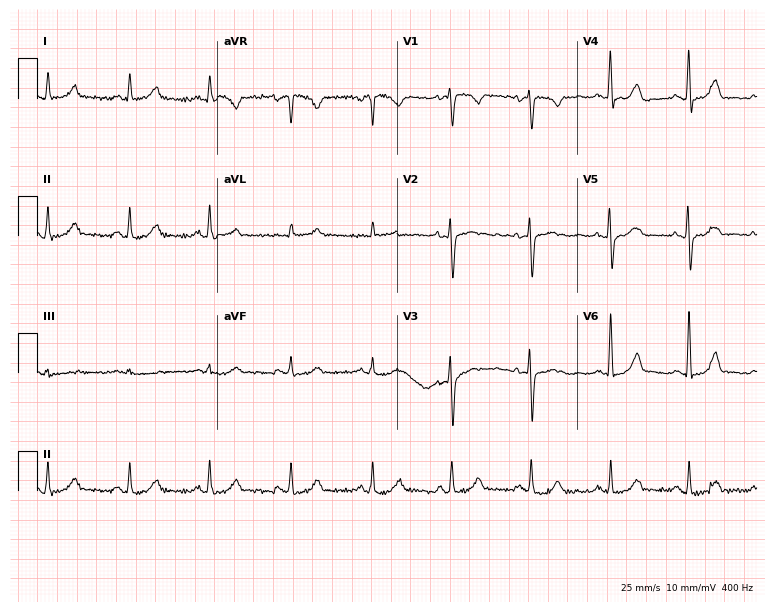
Resting 12-lead electrocardiogram (7.3-second recording at 400 Hz). Patient: a female, 41 years old. Read as a normal ECG.